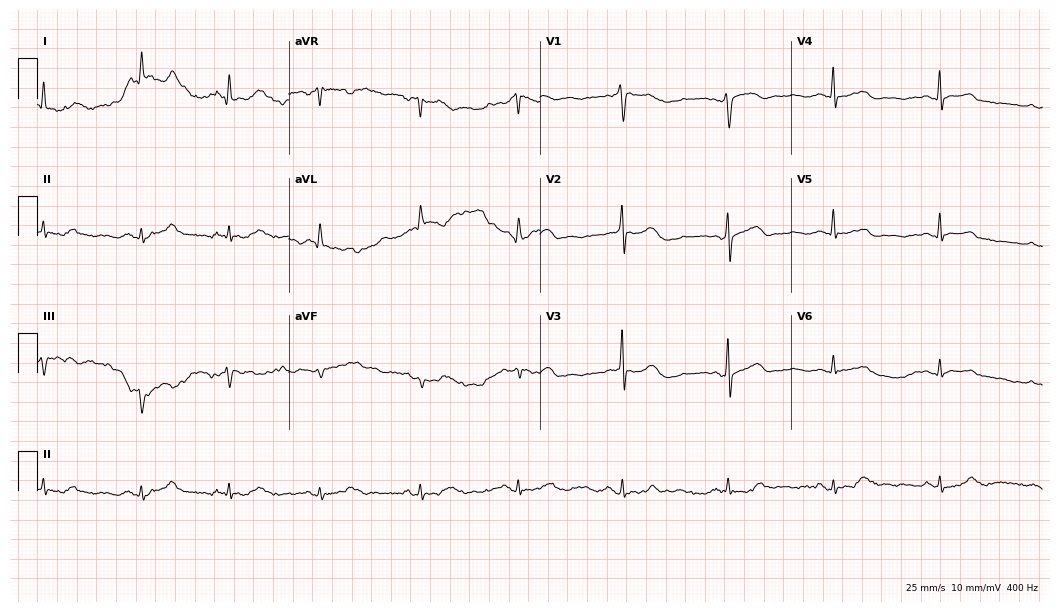
12-lead ECG (10.2-second recording at 400 Hz) from a 62-year-old woman. Labelled as a normal ECG.